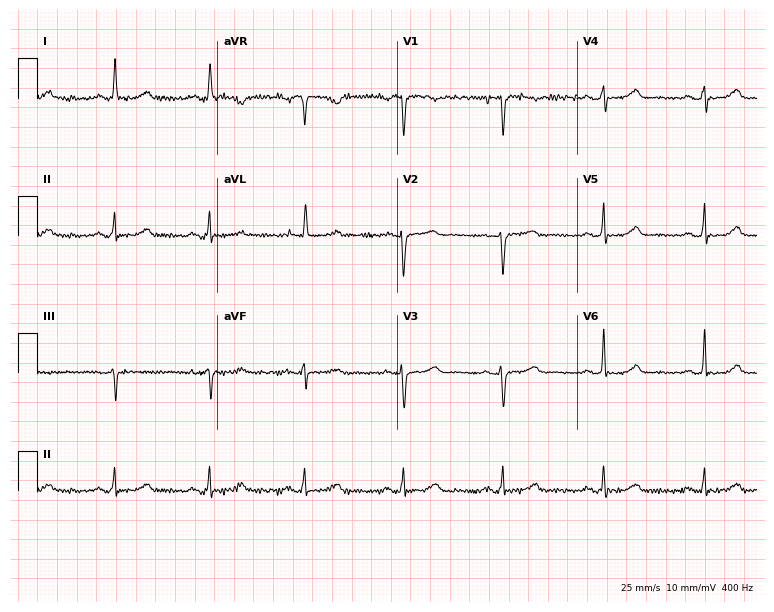
12-lead ECG from a female, 66 years old. Recorded interpretation: within normal limits.